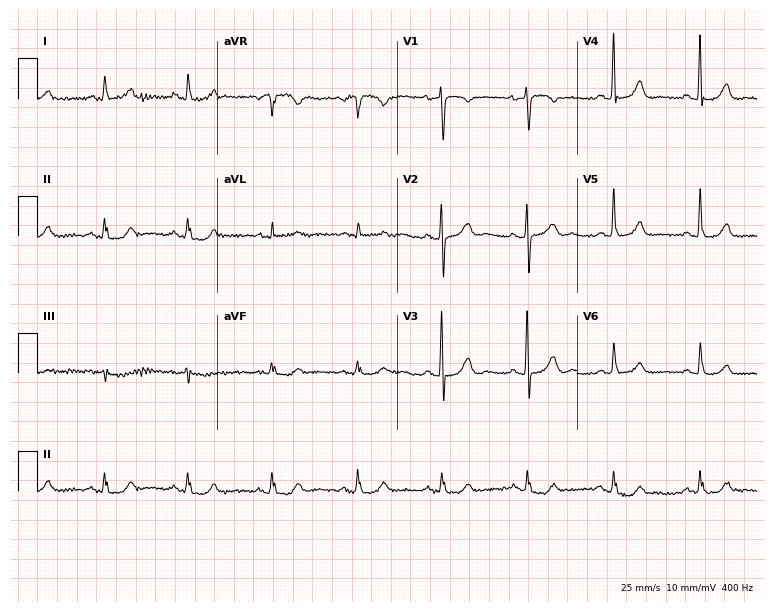
Electrocardiogram (7.3-second recording at 400 Hz), a female, 82 years old. Of the six screened findings (first-degree AV block, right bundle branch block, left bundle branch block, sinus bradycardia, atrial fibrillation, sinus tachycardia), none is recorded.